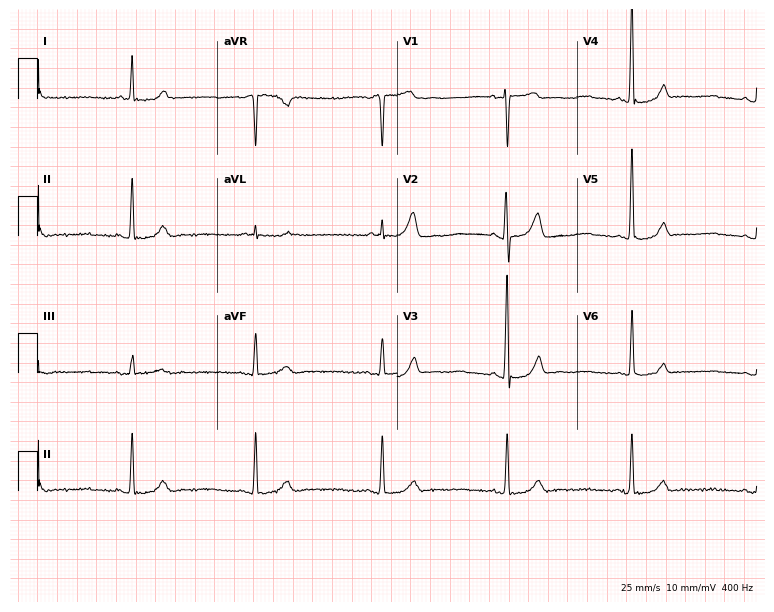
Resting 12-lead electrocardiogram (7.3-second recording at 400 Hz). Patient: a 69-year-old female. The tracing shows sinus bradycardia (a sinus rate of 50 beats per minute or less).